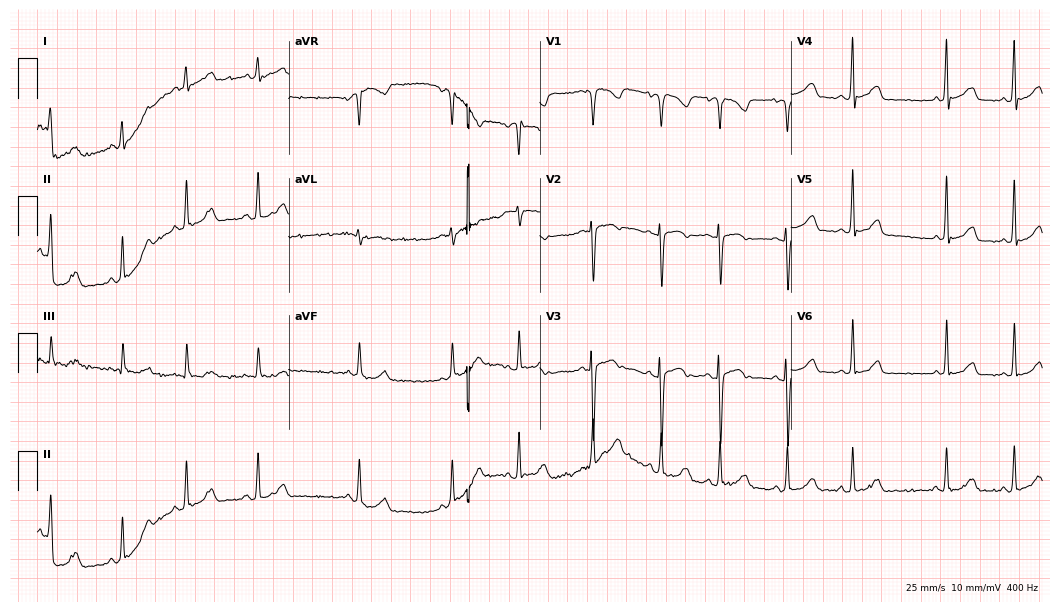
Standard 12-lead ECG recorded from a 30-year-old male (10.2-second recording at 400 Hz). Read as a normal ECG.